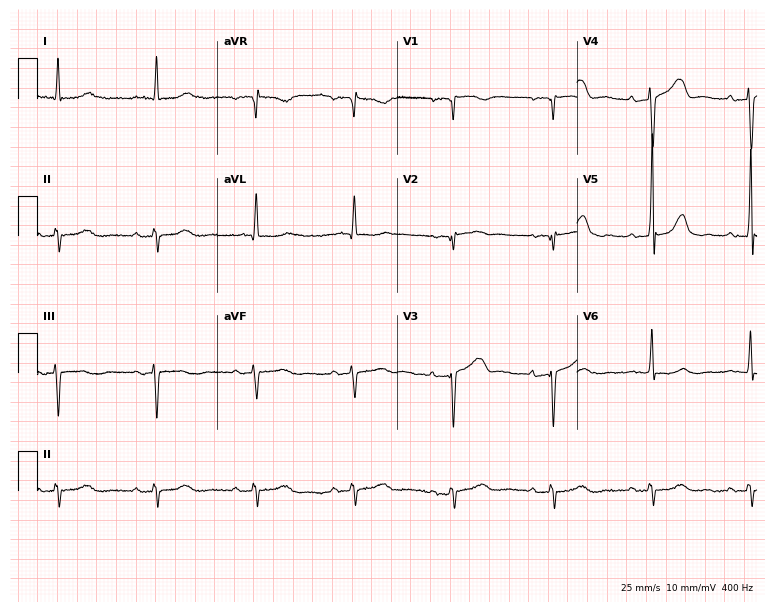
12-lead ECG from a man, 78 years old (7.3-second recording at 400 Hz). No first-degree AV block, right bundle branch block (RBBB), left bundle branch block (LBBB), sinus bradycardia, atrial fibrillation (AF) or sinus tachycardia recorded for this tracing.